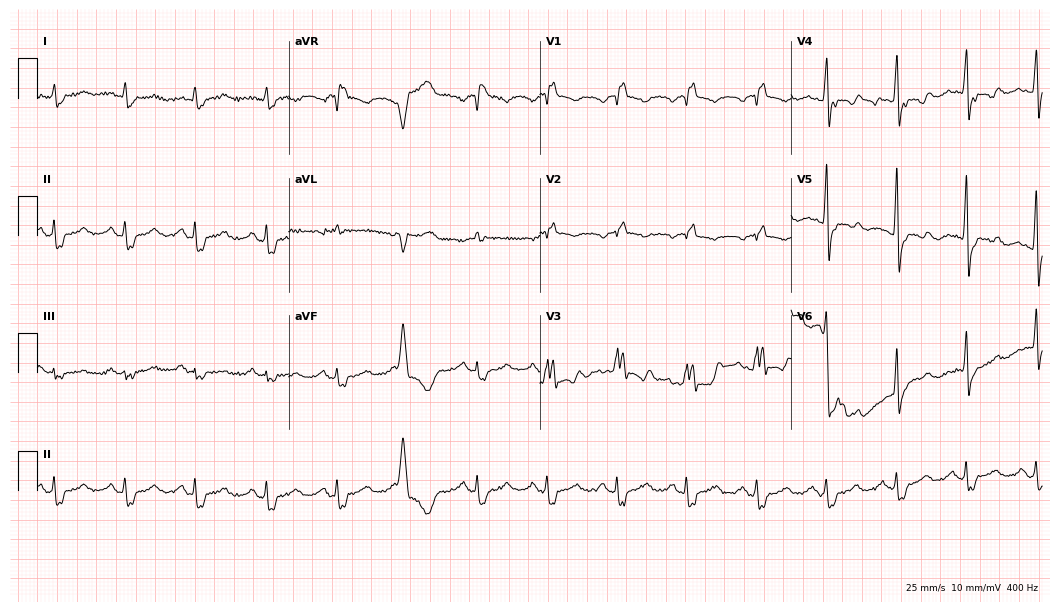
12-lead ECG from an 84-year-old male patient (10.2-second recording at 400 Hz). Shows right bundle branch block (RBBB).